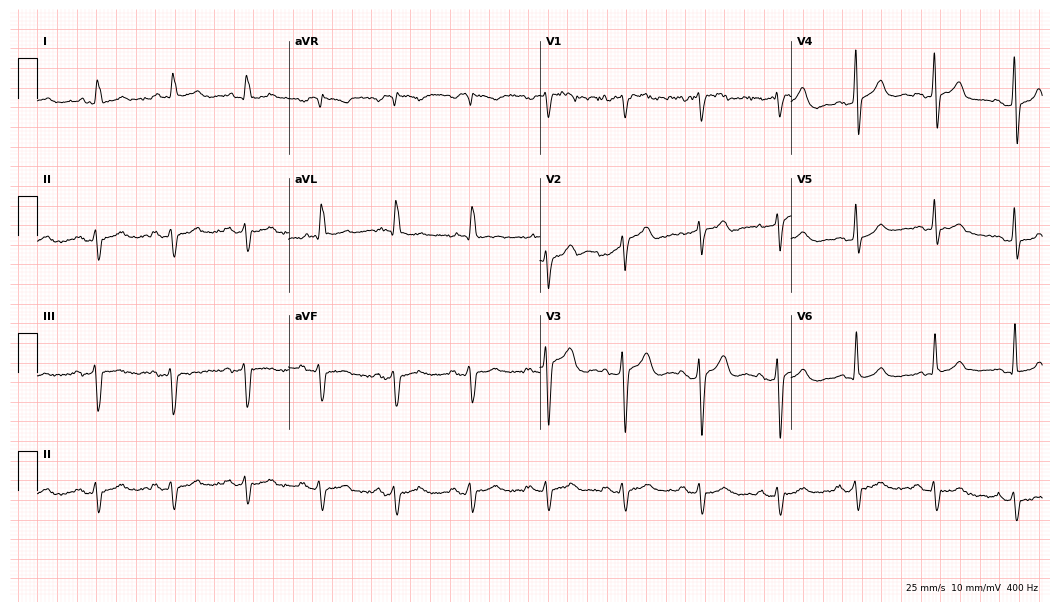
12-lead ECG (10.2-second recording at 400 Hz) from an 83-year-old man. Screened for six findings — first-degree AV block, right bundle branch block (RBBB), left bundle branch block (LBBB), sinus bradycardia, atrial fibrillation (AF), sinus tachycardia — none is recorded.